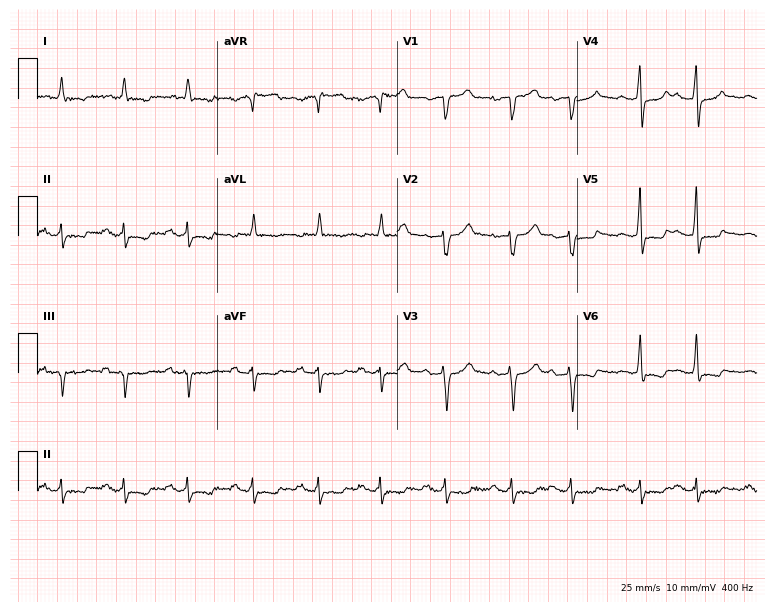
Electrocardiogram, a man, 71 years old. Of the six screened findings (first-degree AV block, right bundle branch block, left bundle branch block, sinus bradycardia, atrial fibrillation, sinus tachycardia), none is recorded.